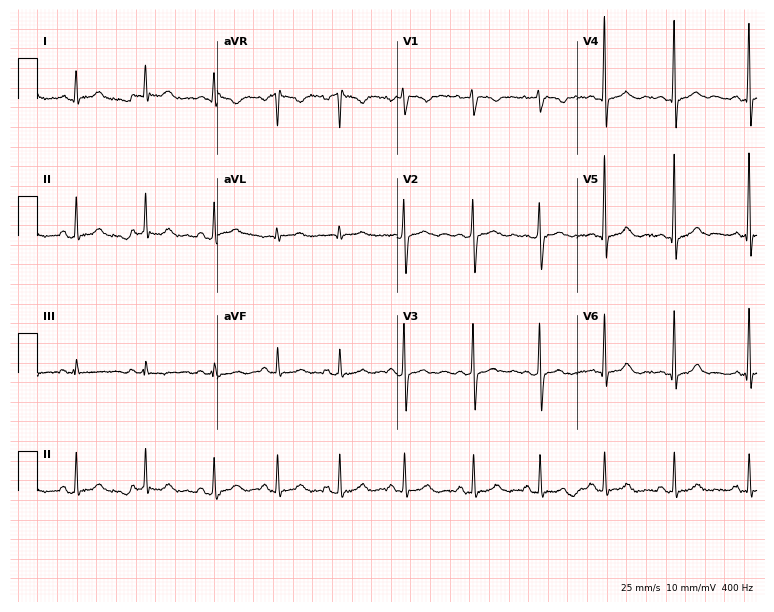
Electrocardiogram, a female patient, 18 years old. Of the six screened findings (first-degree AV block, right bundle branch block, left bundle branch block, sinus bradycardia, atrial fibrillation, sinus tachycardia), none is recorded. Findings outside these six are not listed.